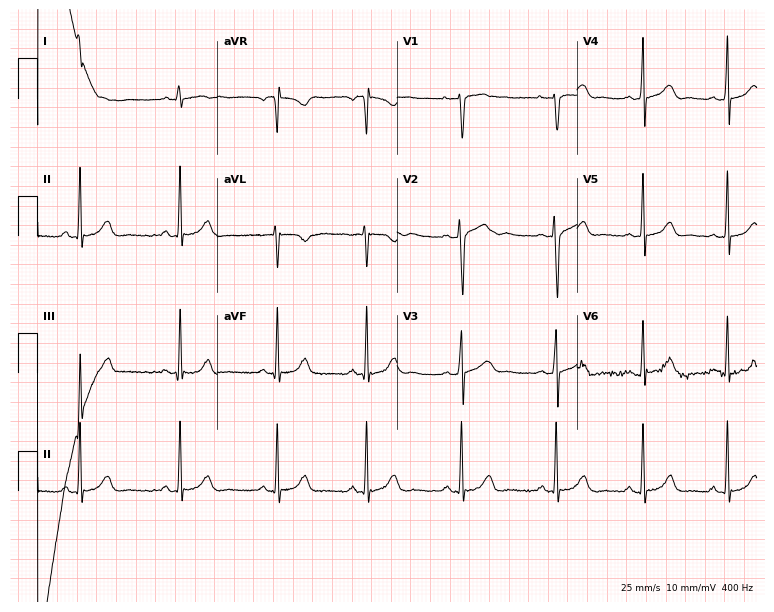
ECG (7.3-second recording at 400 Hz) — a 20-year-old female. Labelled as a normal ECG.